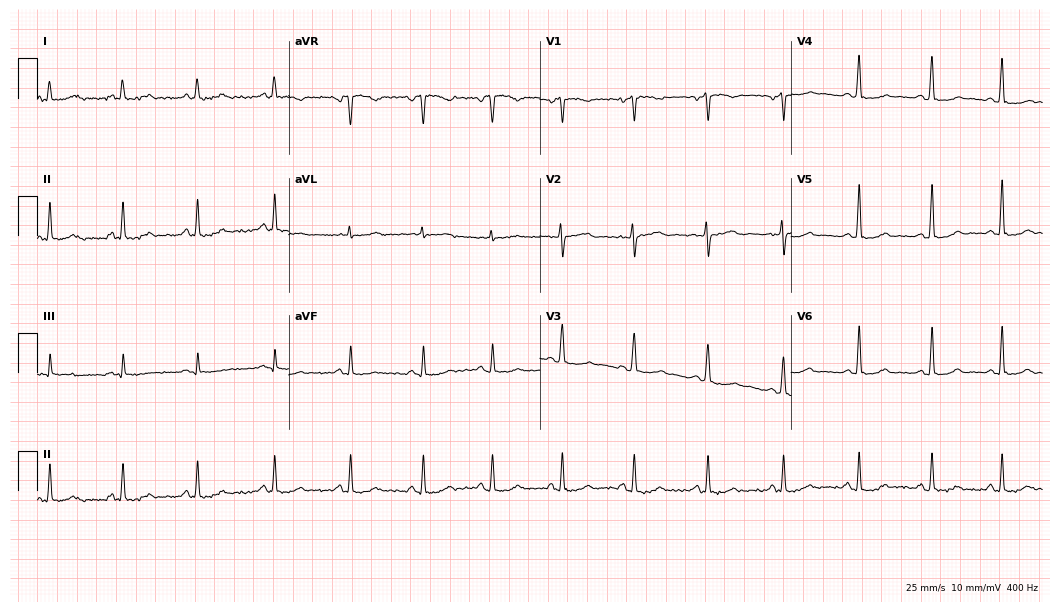
Resting 12-lead electrocardiogram (10.2-second recording at 400 Hz). Patient: a 37-year-old female. None of these six findings is recorded: first-degree AV block, right bundle branch block (RBBB), left bundle branch block (LBBB), sinus bradycardia, atrial fibrillation (AF), sinus tachycardia. Findings outside these six are not listed.